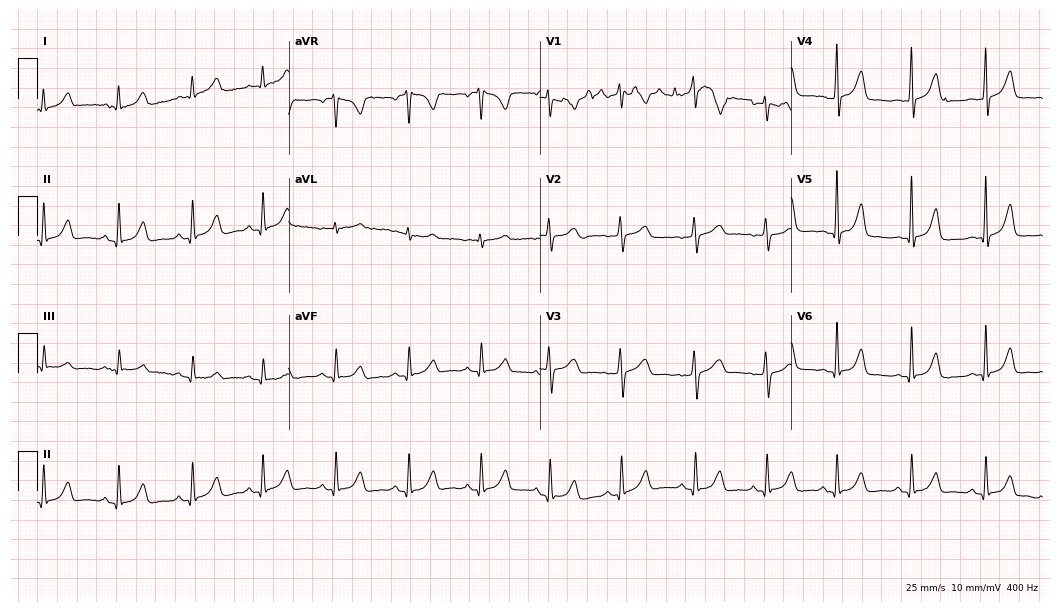
Resting 12-lead electrocardiogram (10.2-second recording at 400 Hz). Patient: a 25-year-old female. Read as a normal ECG.